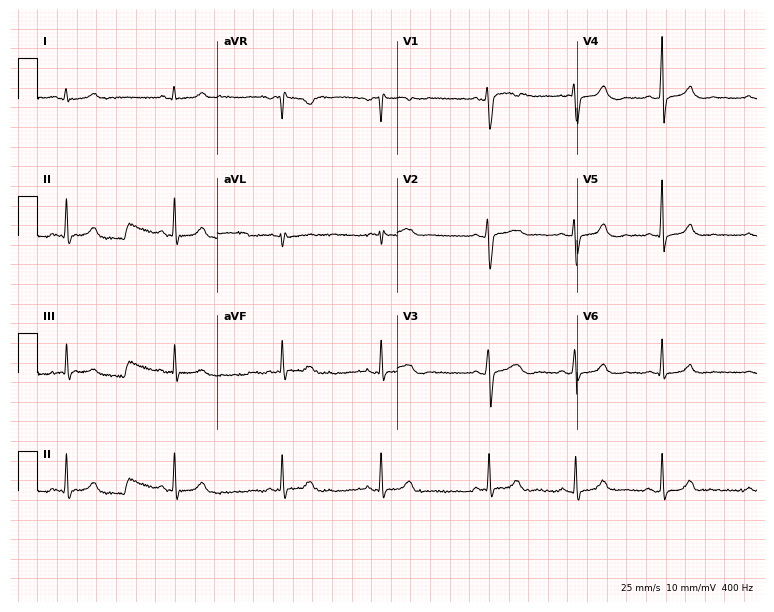
12-lead ECG (7.3-second recording at 400 Hz) from a 29-year-old woman. Screened for six findings — first-degree AV block, right bundle branch block, left bundle branch block, sinus bradycardia, atrial fibrillation, sinus tachycardia — none is recorded. Other findings, if any, are not listed.